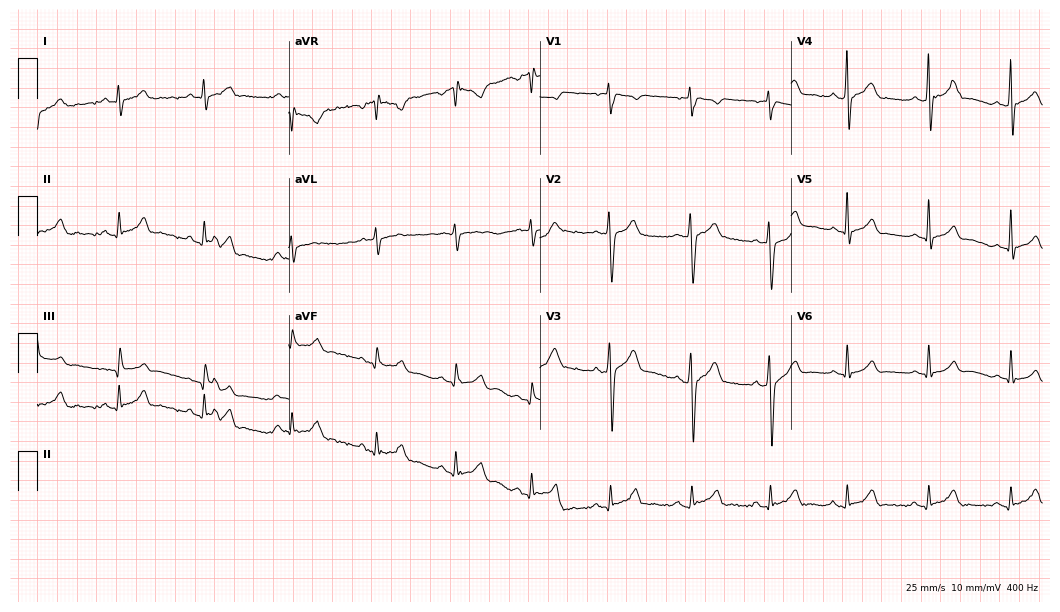
ECG — a 27-year-old male. Labelled as a normal ECG.